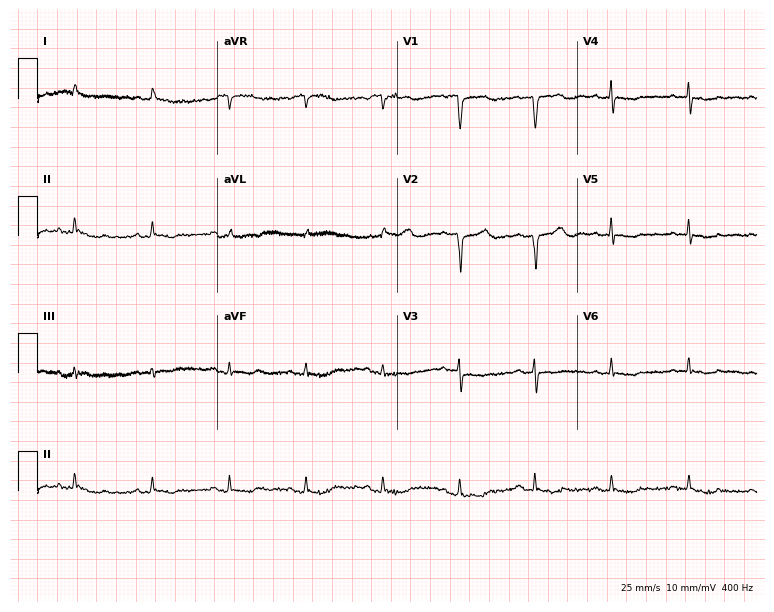
12-lead ECG (7.3-second recording at 400 Hz) from a woman, 64 years old. Screened for six findings — first-degree AV block, right bundle branch block, left bundle branch block, sinus bradycardia, atrial fibrillation, sinus tachycardia — none is recorded. Only these six findings were labelled.